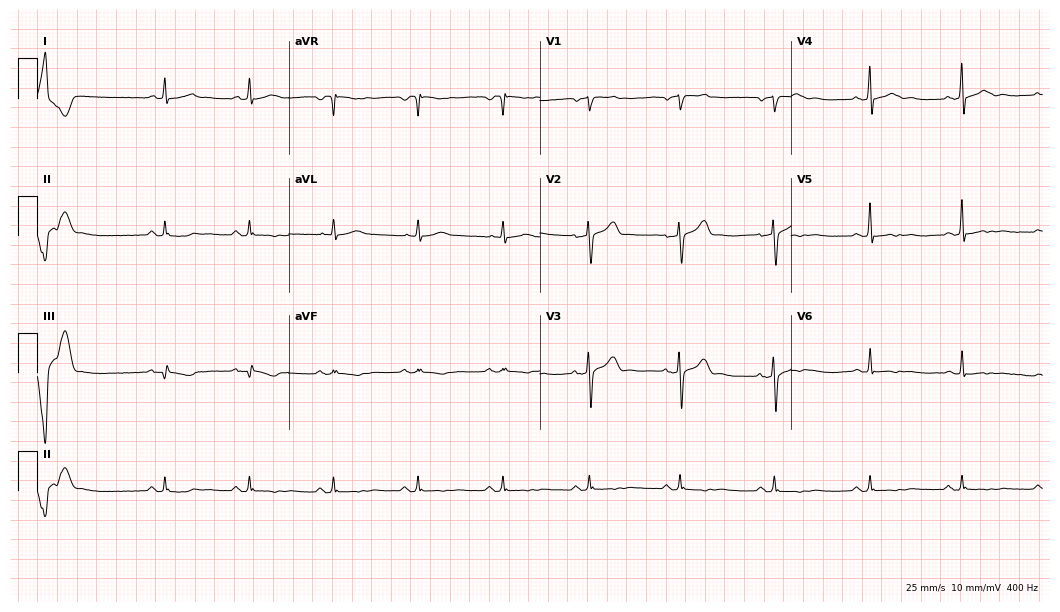
ECG — a 58-year-old male patient. Screened for six findings — first-degree AV block, right bundle branch block, left bundle branch block, sinus bradycardia, atrial fibrillation, sinus tachycardia — none is recorded. Findings outside these six are not listed.